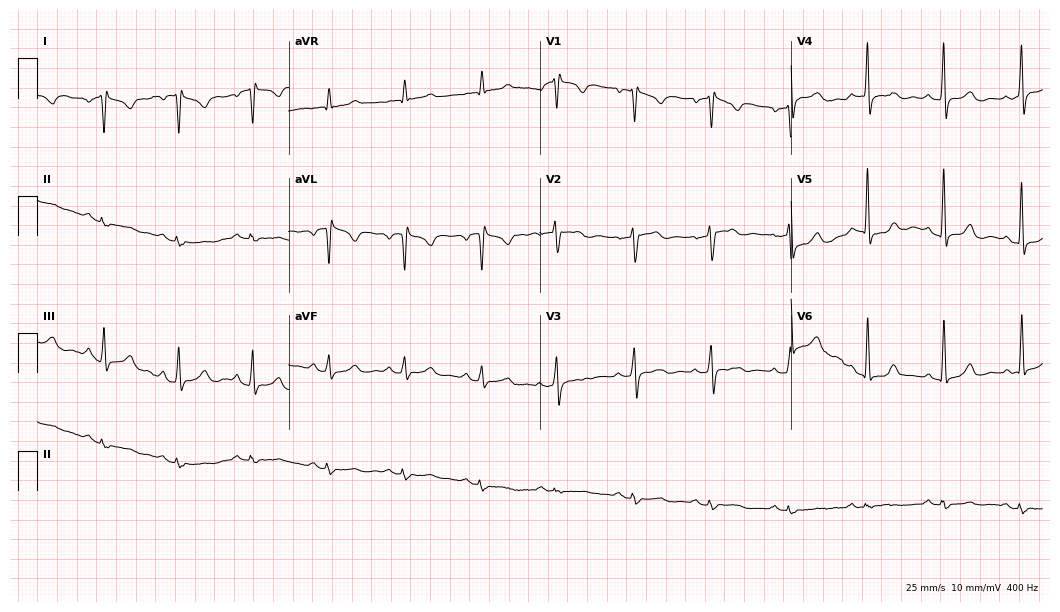
Resting 12-lead electrocardiogram (10.2-second recording at 400 Hz). Patient: a female, 59 years old. None of these six findings is recorded: first-degree AV block, right bundle branch block, left bundle branch block, sinus bradycardia, atrial fibrillation, sinus tachycardia. Only these six findings were labelled.